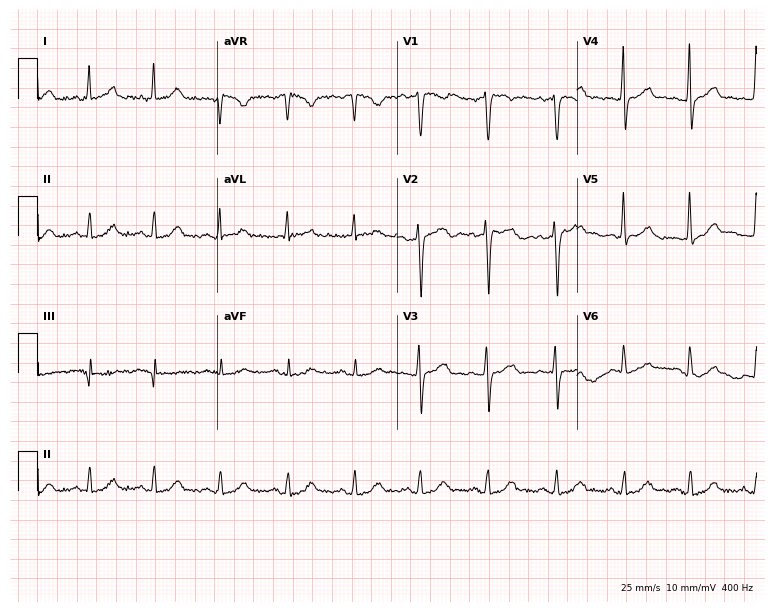
ECG — a female patient, 43 years old. Labelled as a normal ECG.